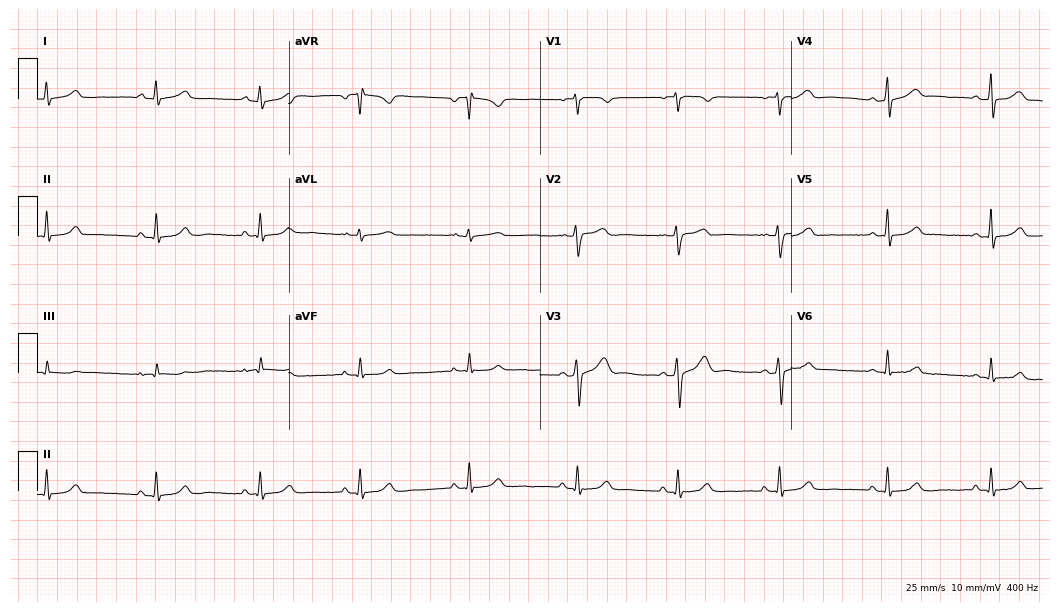
12-lead ECG (10.2-second recording at 400 Hz) from a 32-year-old woman. Screened for six findings — first-degree AV block, right bundle branch block (RBBB), left bundle branch block (LBBB), sinus bradycardia, atrial fibrillation (AF), sinus tachycardia — none is recorded.